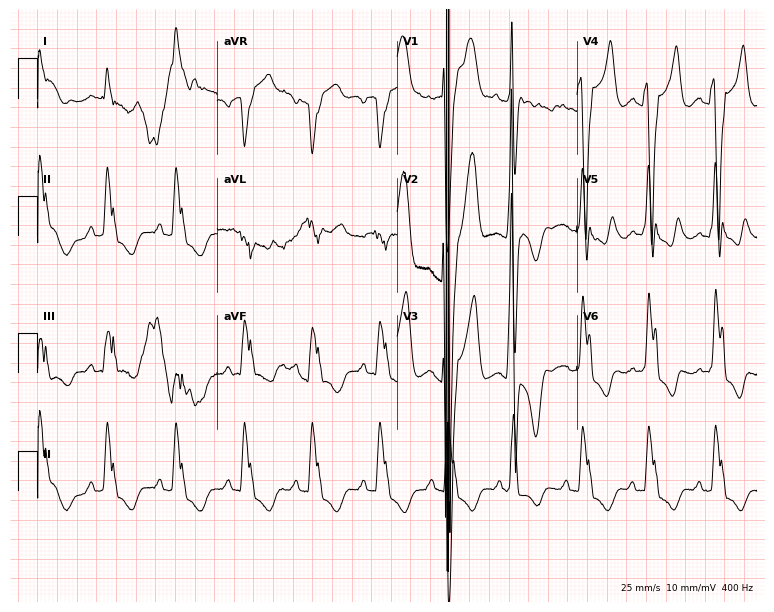
Resting 12-lead electrocardiogram (7.3-second recording at 400 Hz). Patient: a 69-year-old male. The tracing shows left bundle branch block.